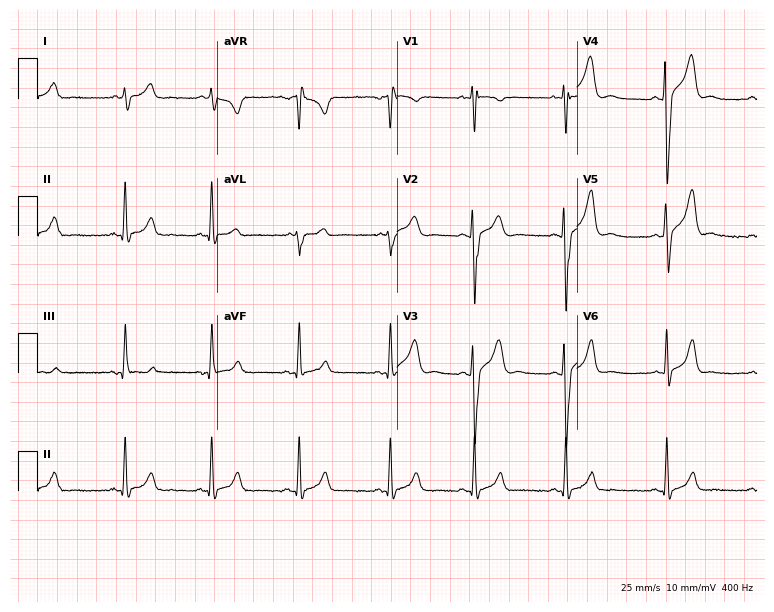
Standard 12-lead ECG recorded from a 19-year-old male patient. None of these six findings is recorded: first-degree AV block, right bundle branch block (RBBB), left bundle branch block (LBBB), sinus bradycardia, atrial fibrillation (AF), sinus tachycardia. Findings outside these six are not listed.